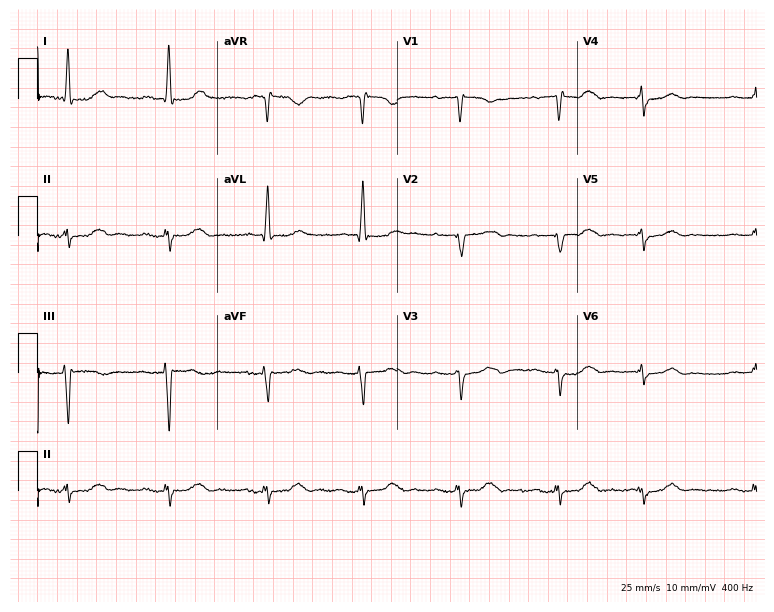
Electrocardiogram, a female, 79 years old. Interpretation includes atrial fibrillation.